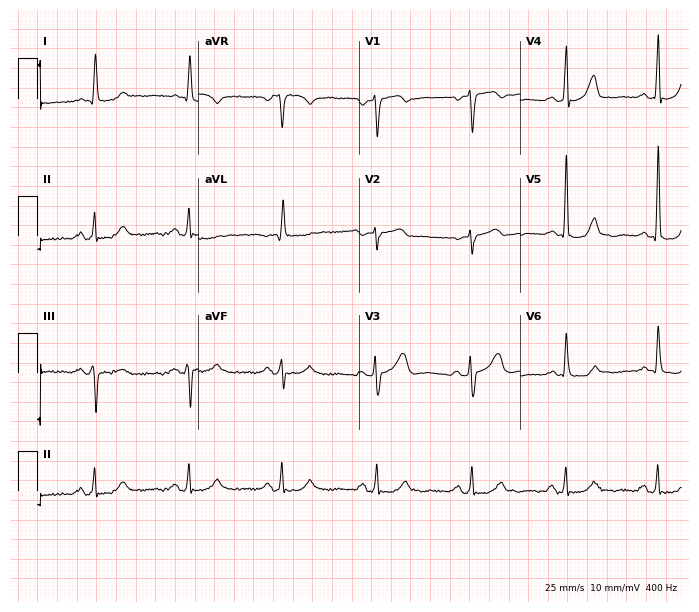
Resting 12-lead electrocardiogram. Patient: a female, 70 years old. None of these six findings is recorded: first-degree AV block, right bundle branch block, left bundle branch block, sinus bradycardia, atrial fibrillation, sinus tachycardia. Only these six findings were labelled.